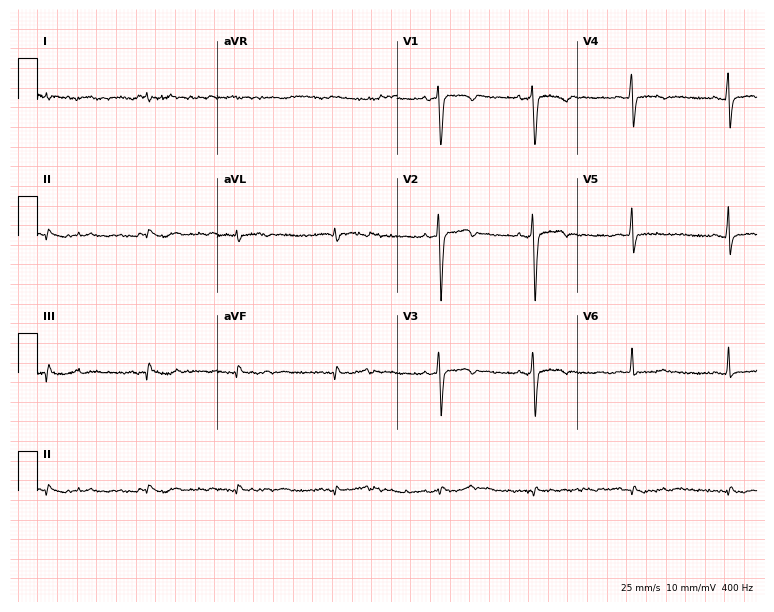
ECG (7.3-second recording at 400 Hz) — a 35-year-old woman. Screened for six findings — first-degree AV block, right bundle branch block, left bundle branch block, sinus bradycardia, atrial fibrillation, sinus tachycardia — none is recorded. Findings outside these six are not listed.